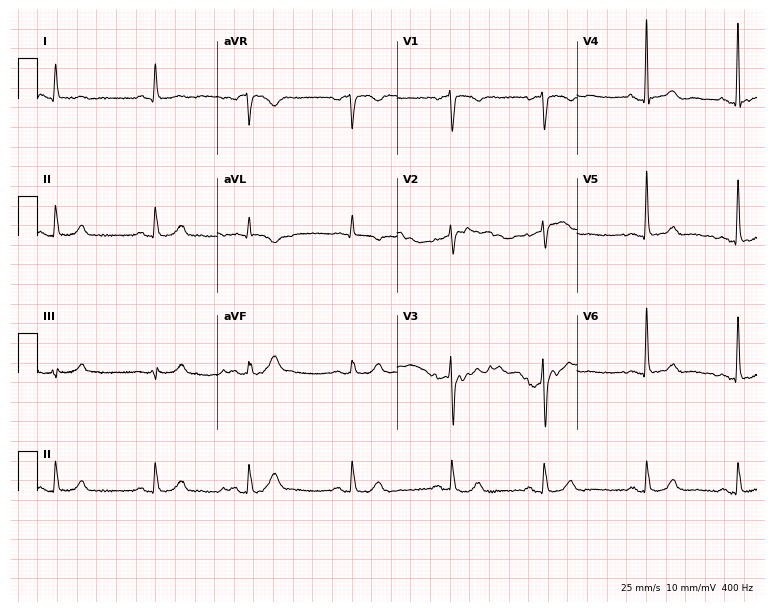
Electrocardiogram (7.3-second recording at 400 Hz), a male patient, 74 years old. Of the six screened findings (first-degree AV block, right bundle branch block (RBBB), left bundle branch block (LBBB), sinus bradycardia, atrial fibrillation (AF), sinus tachycardia), none is recorded.